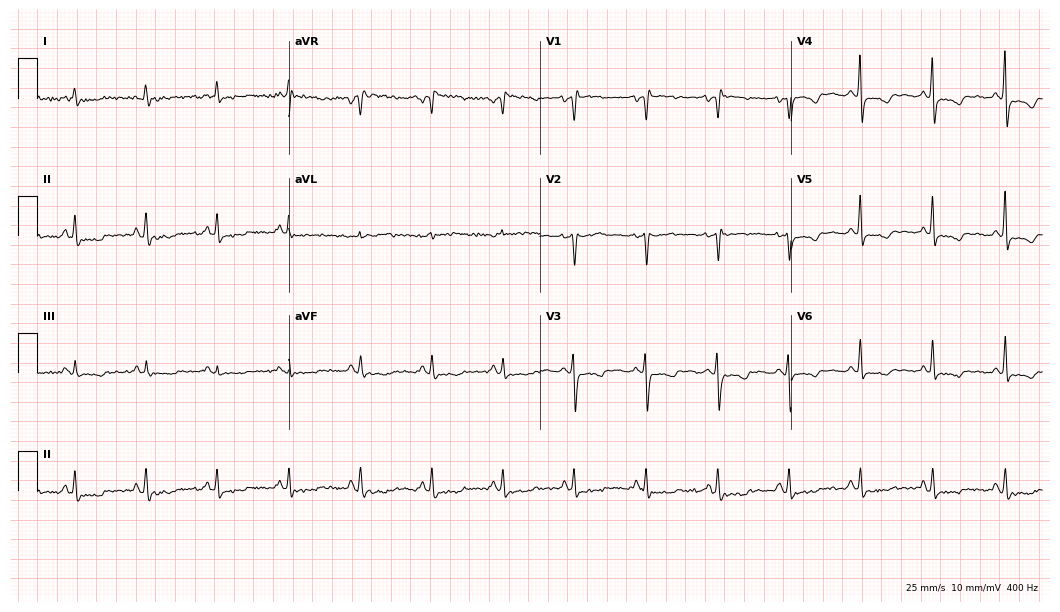
ECG (10.2-second recording at 400 Hz) — a 59-year-old female. Screened for six findings — first-degree AV block, right bundle branch block (RBBB), left bundle branch block (LBBB), sinus bradycardia, atrial fibrillation (AF), sinus tachycardia — none is recorded.